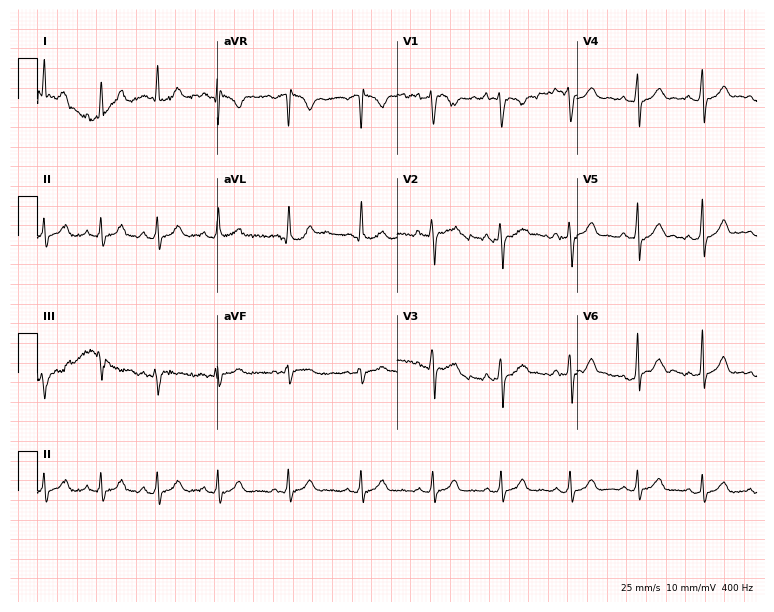
12-lead ECG from a 25-year-old woman (7.3-second recording at 400 Hz). Recorded interpretation: within normal limits.